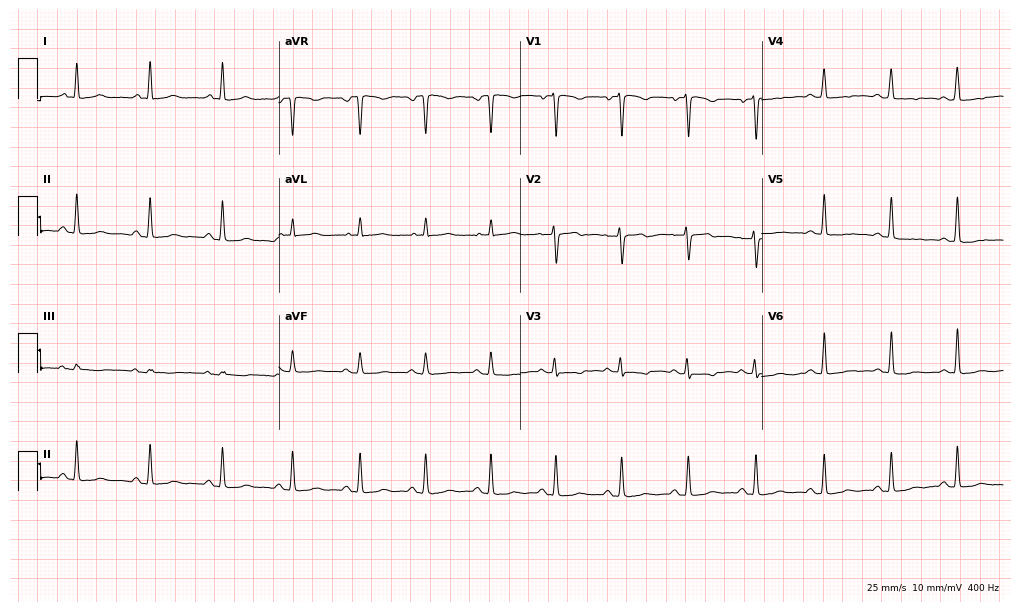
ECG — a 39-year-old female. Screened for six findings — first-degree AV block, right bundle branch block, left bundle branch block, sinus bradycardia, atrial fibrillation, sinus tachycardia — none is recorded.